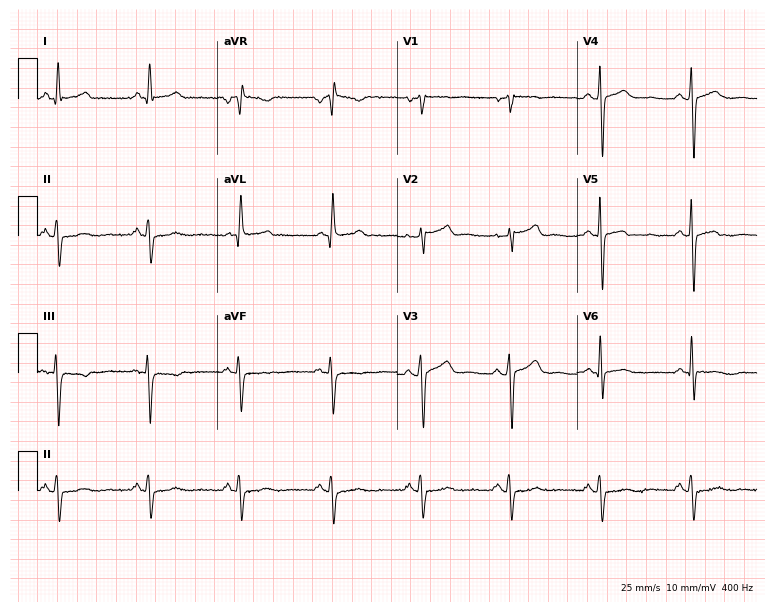
12-lead ECG from a 56-year-old male (7.3-second recording at 400 Hz). No first-degree AV block, right bundle branch block, left bundle branch block, sinus bradycardia, atrial fibrillation or sinus tachycardia recorded for this tracing.